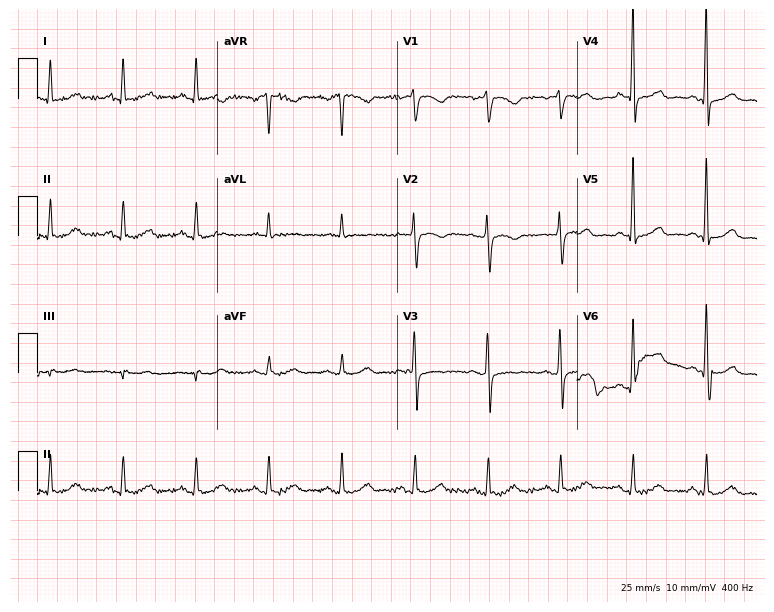
Standard 12-lead ECG recorded from a woman, 76 years old (7.3-second recording at 400 Hz). None of these six findings is recorded: first-degree AV block, right bundle branch block, left bundle branch block, sinus bradycardia, atrial fibrillation, sinus tachycardia.